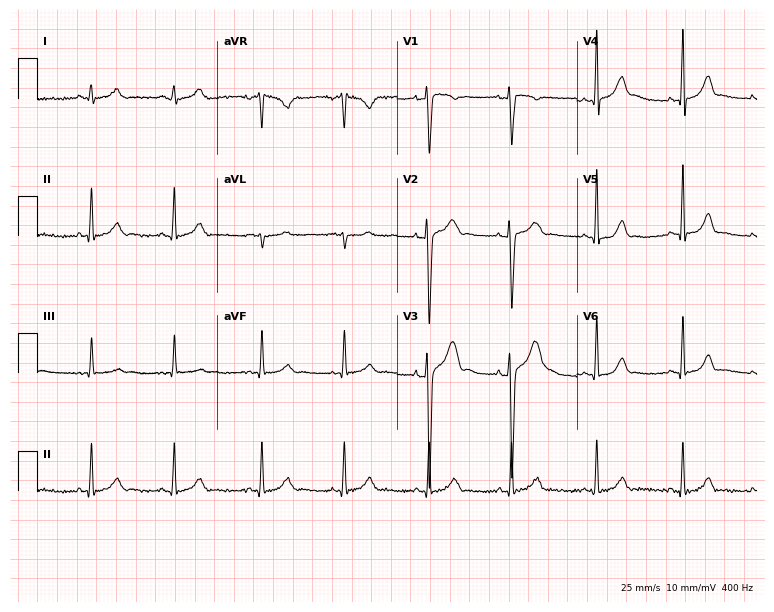
12-lead ECG (7.3-second recording at 400 Hz) from a male patient, 28 years old. Screened for six findings — first-degree AV block, right bundle branch block, left bundle branch block, sinus bradycardia, atrial fibrillation, sinus tachycardia — none is recorded.